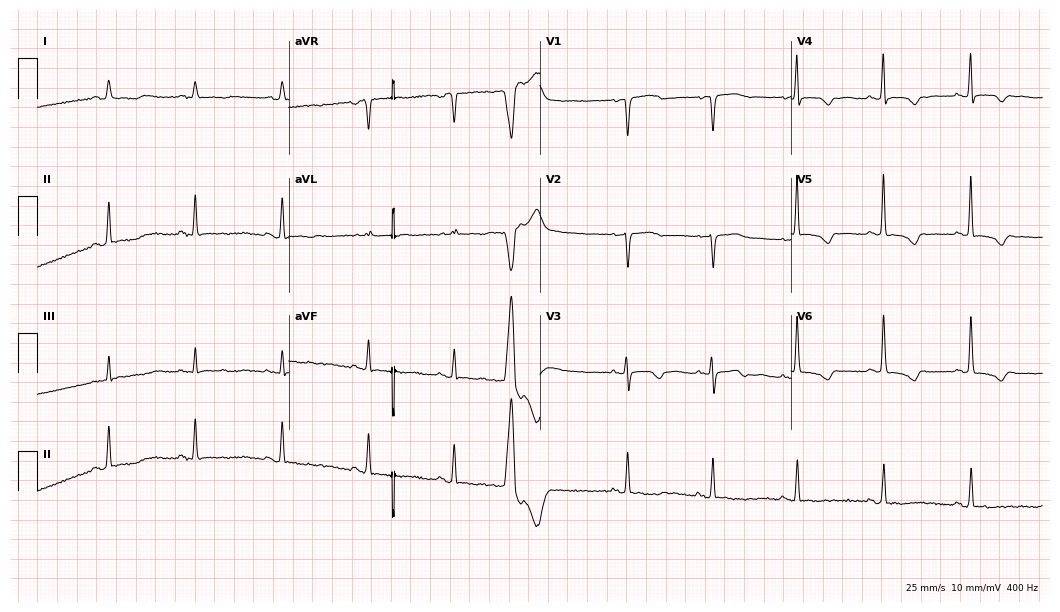
12-lead ECG from a 69-year-old female patient. No first-degree AV block, right bundle branch block (RBBB), left bundle branch block (LBBB), sinus bradycardia, atrial fibrillation (AF) or sinus tachycardia recorded for this tracing. Findings outside these six are not listed.